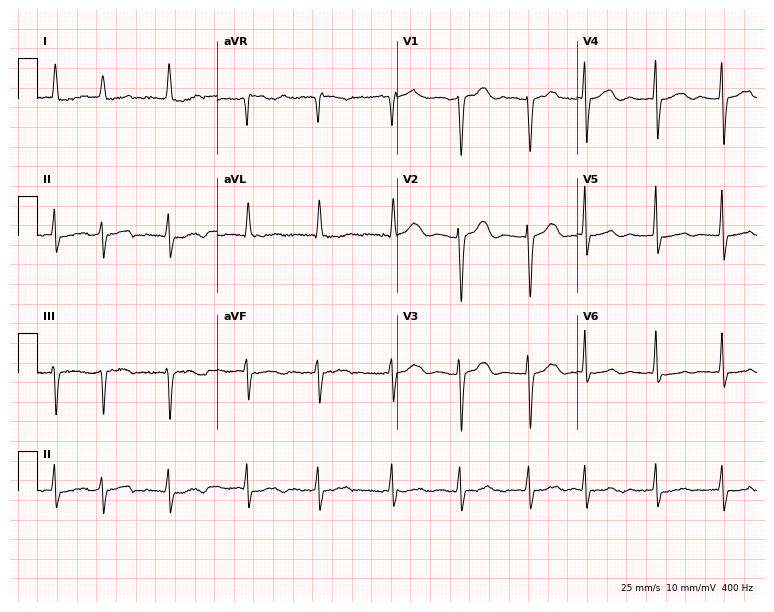
12-lead ECG (7.3-second recording at 400 Hz) from a female patient, 83 years old. Findings include atrial fibrillation.